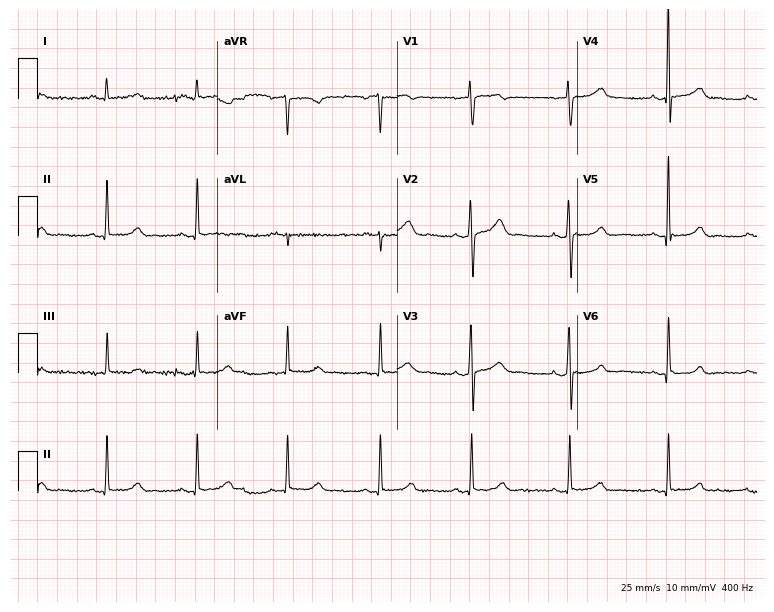
12-lead ECG (7.3-second recording at 400 Hz) from a 33-year-old woman. Labelled as a normal ECG.